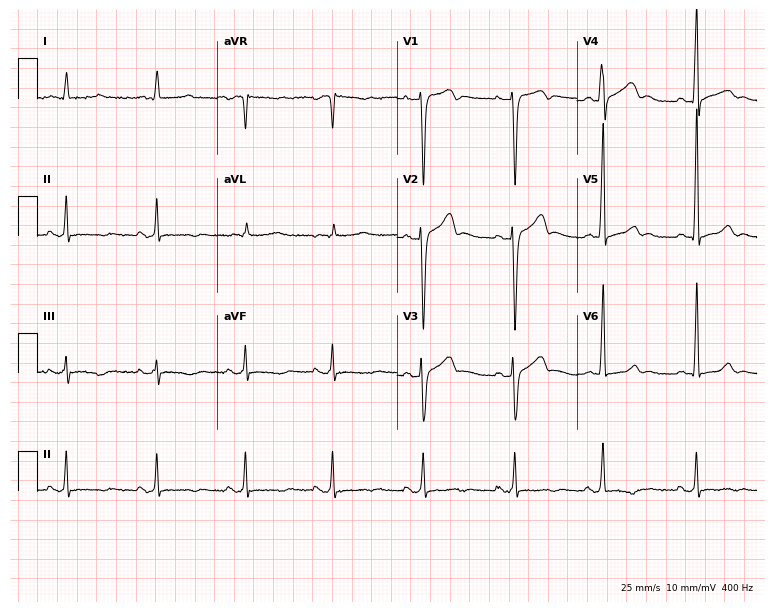
Standard 12-lead ECG recorded from a 54-year-old man (7.3-second recording at 400 Hz). None of these six findings is recorded: first-degree AV block, right bundle branch block (RBBB), left bundle branch block (LBBB), sinus bradycardia, atrial fibrillation (AF), sinus tachycardia. Other findings, if any, are not listed.